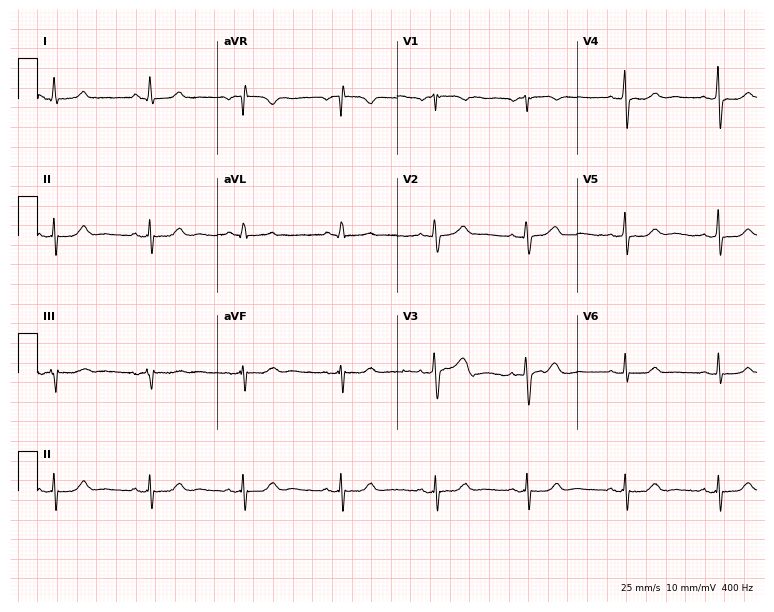
ECG — a female patient, 61 years old. Screened for six findings — first-degree AV block, right bundle branch block (RBBB), left bundle branch block (LBBB), sinus bradycardia, atrial fibrillation (AF), sinus tachycardia — none is recorded.